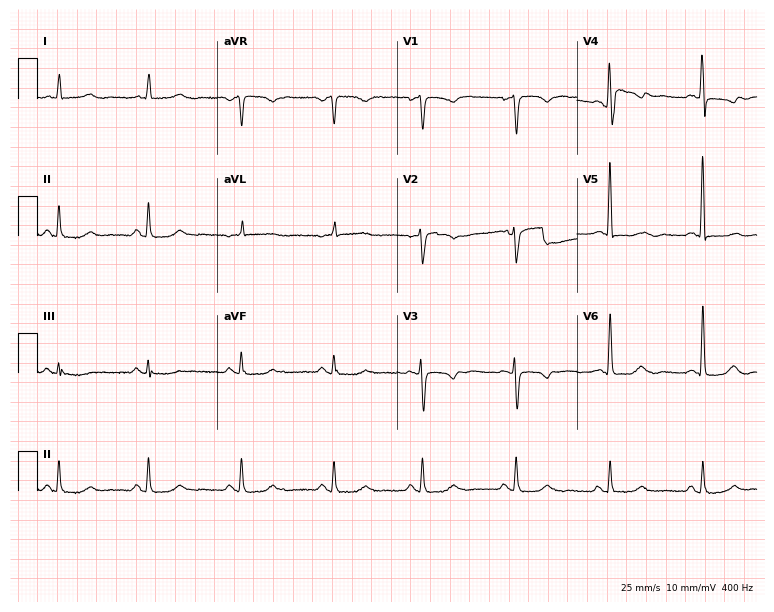
12-lead ECG (7.3-second recording at 400 Hz) from a 63-year-old female. Screened for six findings — first-degree AV block, right bundle branch block, left bundle branch block, sinus bradycardia, atrial fibrillation, sinus tachycardia — none is recorded. Only these six findings were labelled.